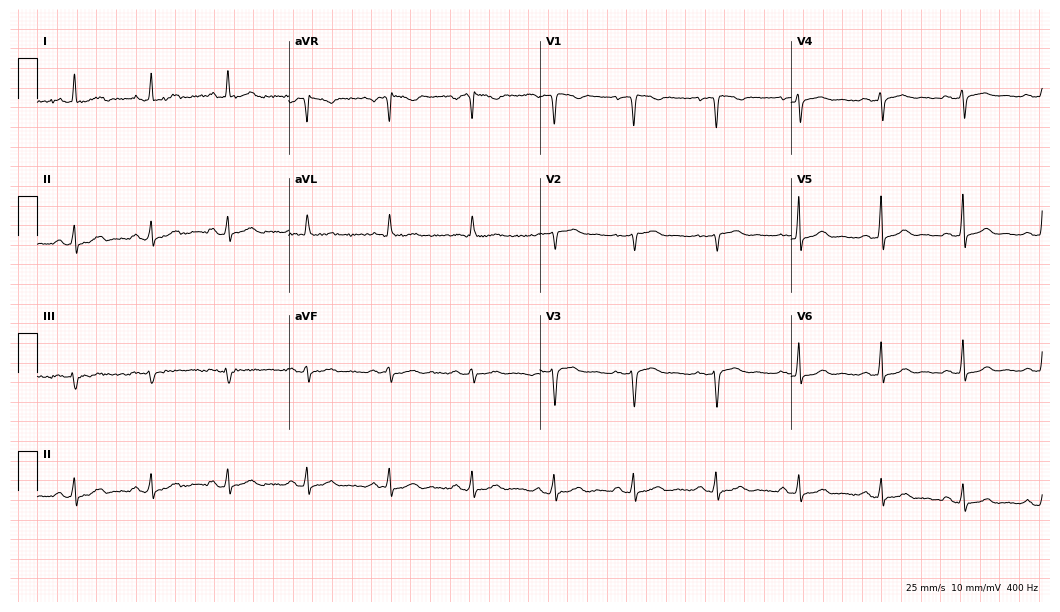
12-lead ECG from a 30-year-old woman. No first-degree AV block, right bundle branch block (RBBB), left bundle branch block (LBBB), sinus bradycardia, atrial fibrillation (AF) or sinus tachycardia recorded for this tracing. Only these six findings were labelled.